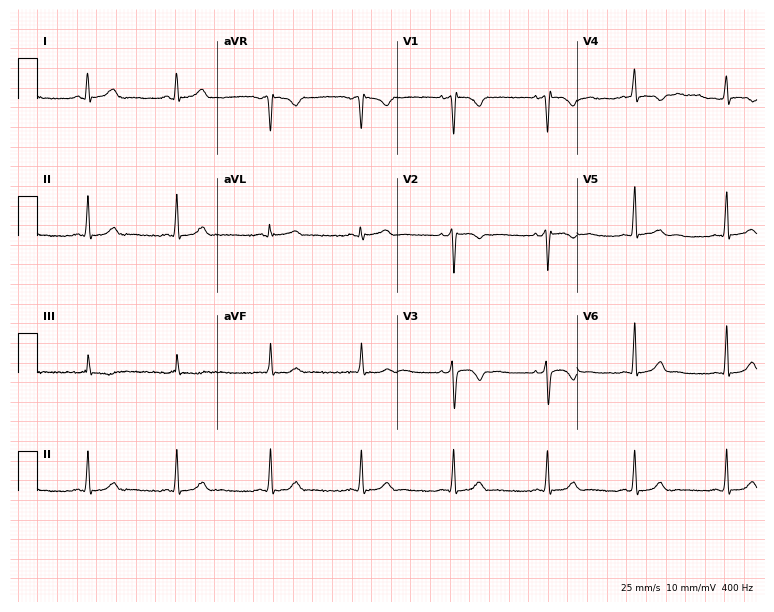
Standard 12-lead ECG recorded from a 19-year-old female. Read as a normal ECG.